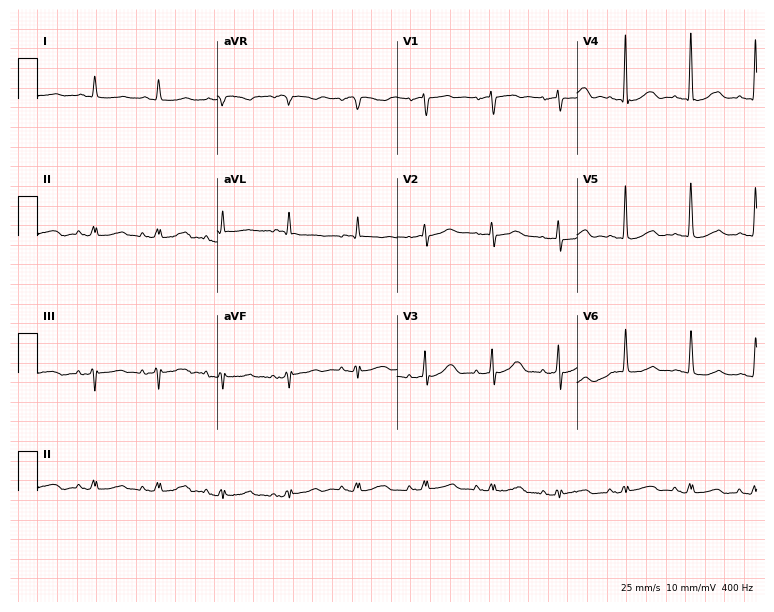
Standard 12-lead ECG recorded from a female patient, 80 years old (7.3-second recording at 400 Hz). None of these six findings is recorded: first-degree AV block, right bundle branch block (RBBB), left bundle branch block (LBBB), sinus bradycardia, atrial fibrillation (AF), sinus tachycardia. Only these six findings were labelled.